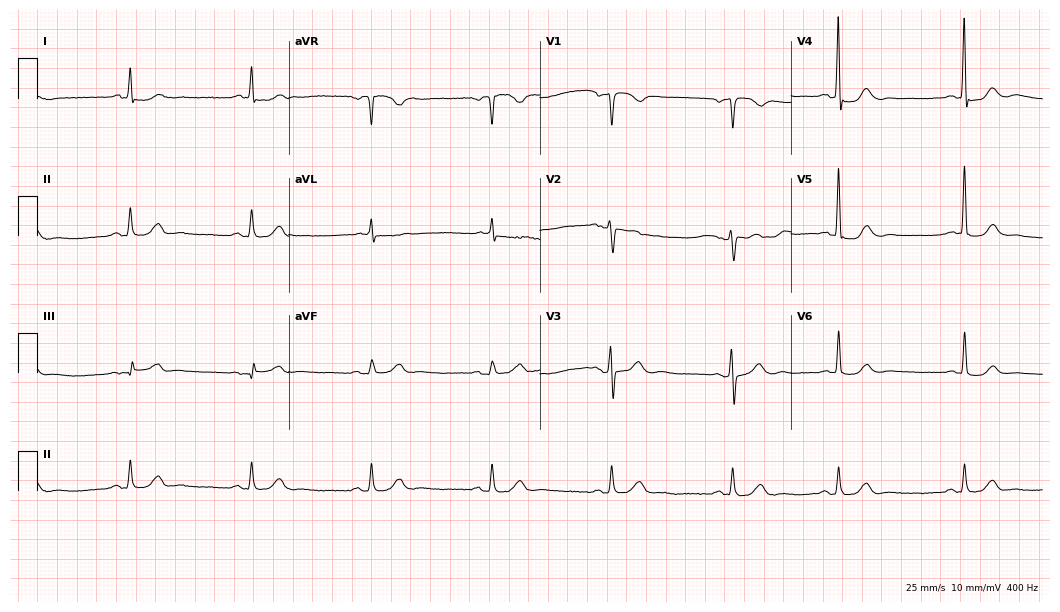
ECG — a male patient, 78 years old. Screened for six findings — first-degree AV block, right bundle branch block, left bundle branch block, sinus bradycardia, atrial fibrillation, sinus tachycardia — none is recorded.